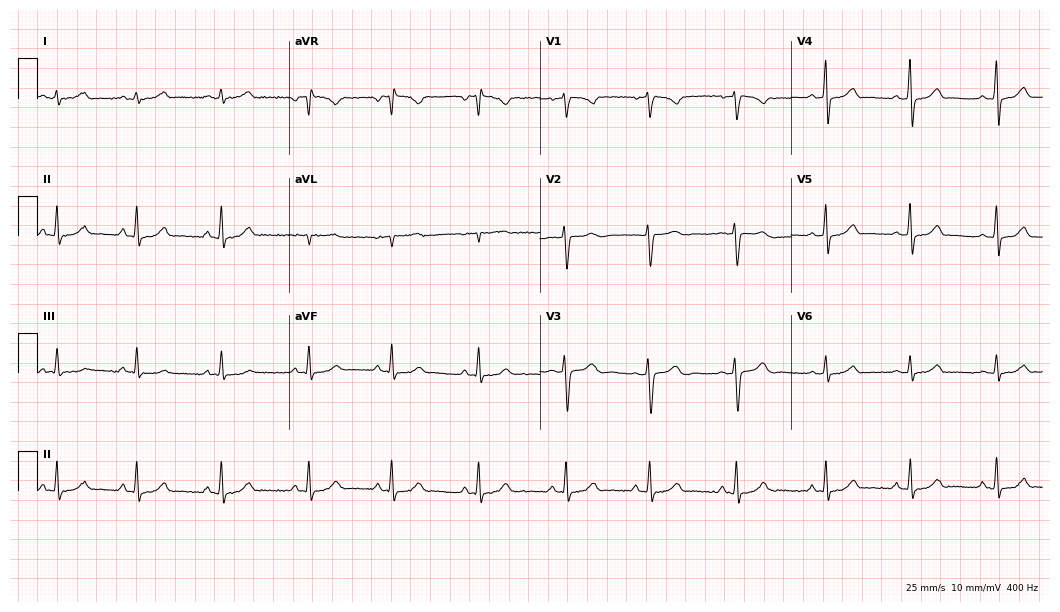
12-lead ECG from a female, 28 years old. Screened for six findings — first-degree AV block, right bundle branch block (RBBB), left bundle branch block (LBBB), sinus bradycardia, atrial fibrillation (AF), sinus tachycardia — none is recorded.